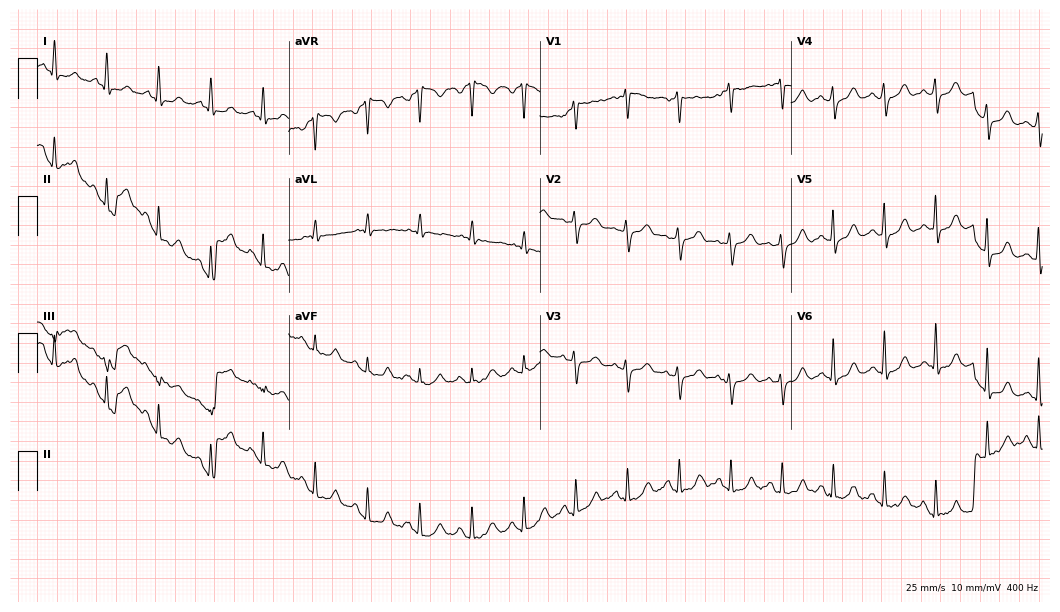
12-lead ECG from a 66-year-old female patient. Findings include sinus tachycardia (a sinus rate of 100 beats per minute or more).